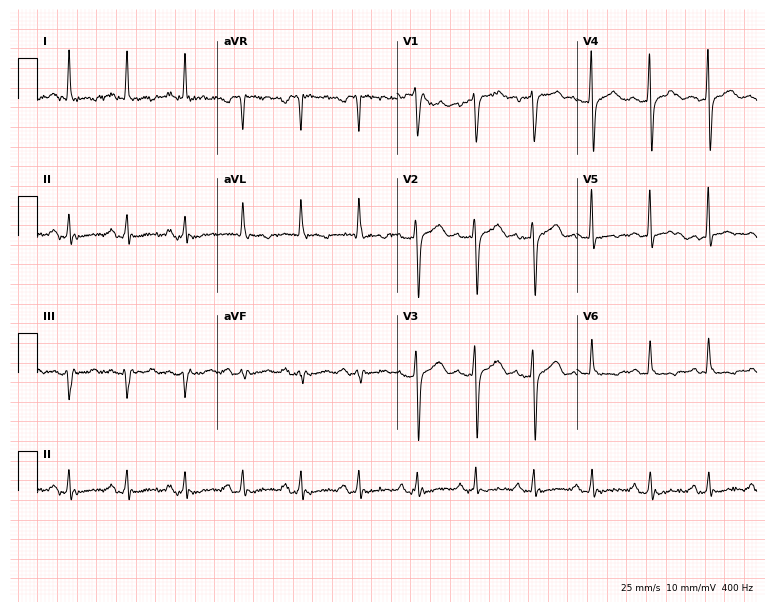
Resting 12-lead electrocardiogram (7.3-second recording at 400 Hz). Patient: a 57-year-old female. None of these six findings is recorded: first-degree AV block, right bundle branch block, left bundle branch block, sinus bradycardia, atrial fibrillation, sinus tachycardia.